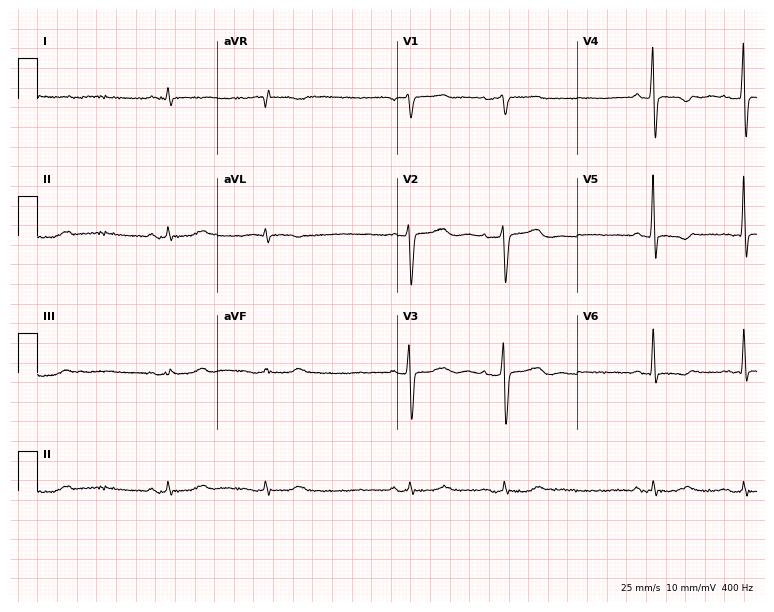
Electrocardiogram (7.3-second recording at 400 Hz), a male patient, 71 years old. Overall reading on record: normal ECG.